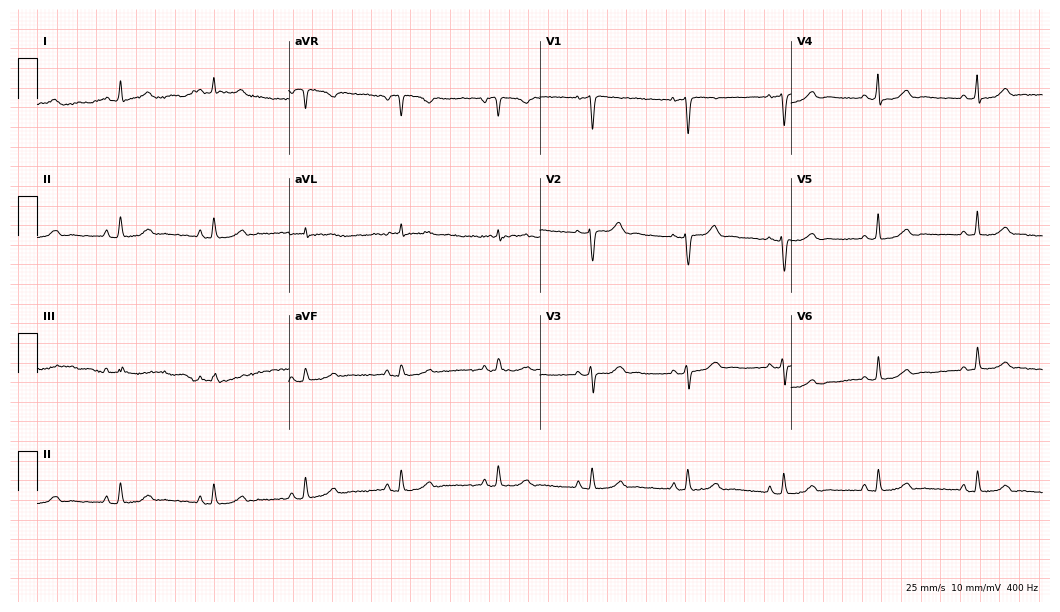
12-lead ECG from a female patient, 41 years old (10.2-second recording at 400 Hz). Recorded interpretation: within normal limits.